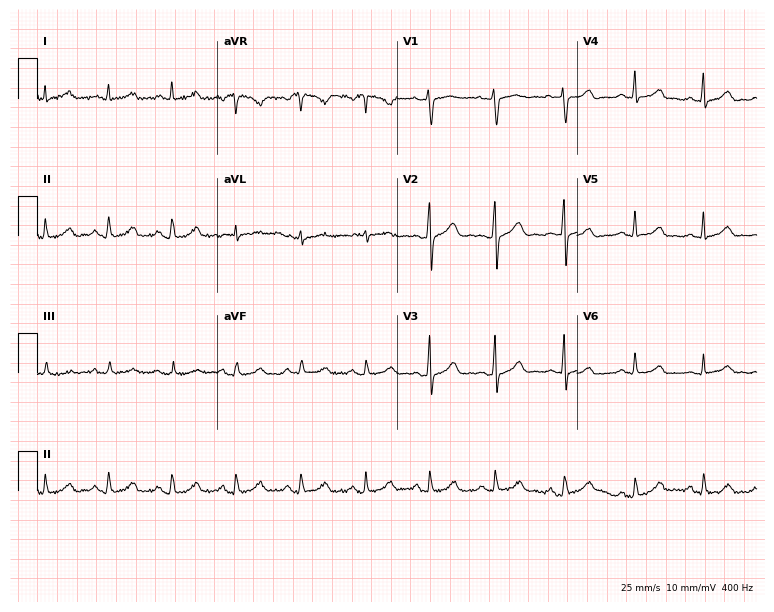
ECG — a 41-year-old female. Screened for six findings — first-degree AV block, right bundle branch block (RBBB), left bundle branch block (LBBB), sinus bradycardia, atrial fibrillation (AF), sinus tachycardia — none is recorded. Findings outside these six are not listed.